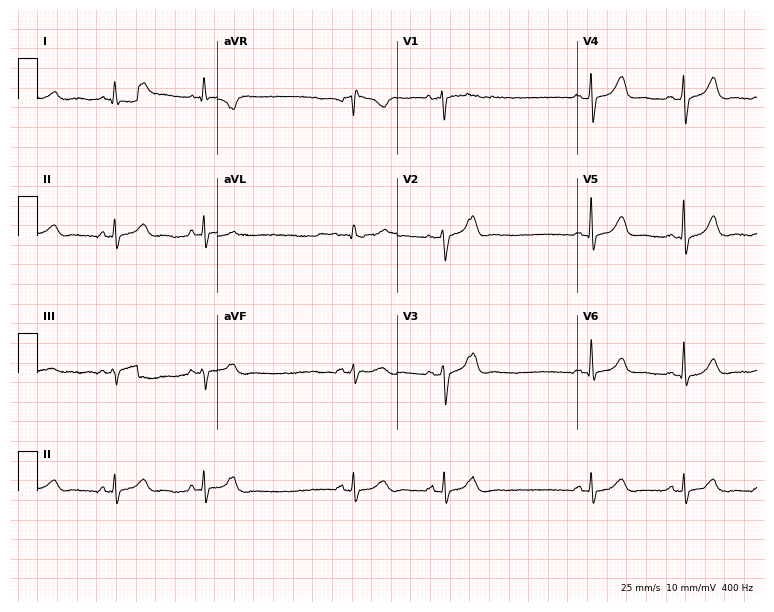
ECG (7.3-second recording at 400 Hz) — a woman, 82 years old. Screened for six findings — first-degree AV block, right bundle branch block (RBBB), left bundle branch block (LBBB), sinus bradycardia, atrial fibrillation (AF), sinus tachycardia — none is recorded.